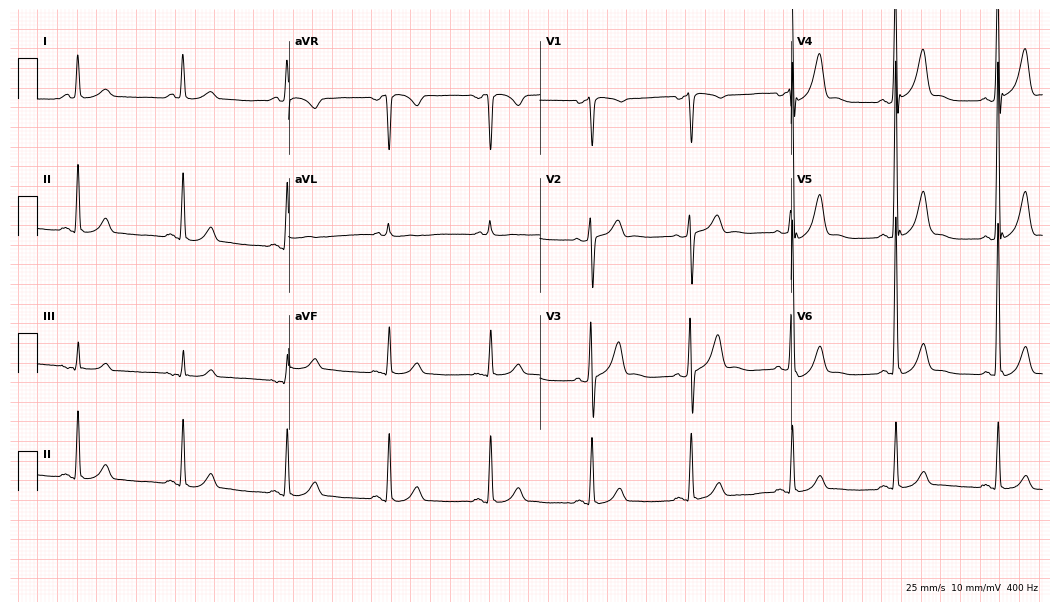
12-lead ECG from a 49-year-old male patient. Labelled as a normal ECG.